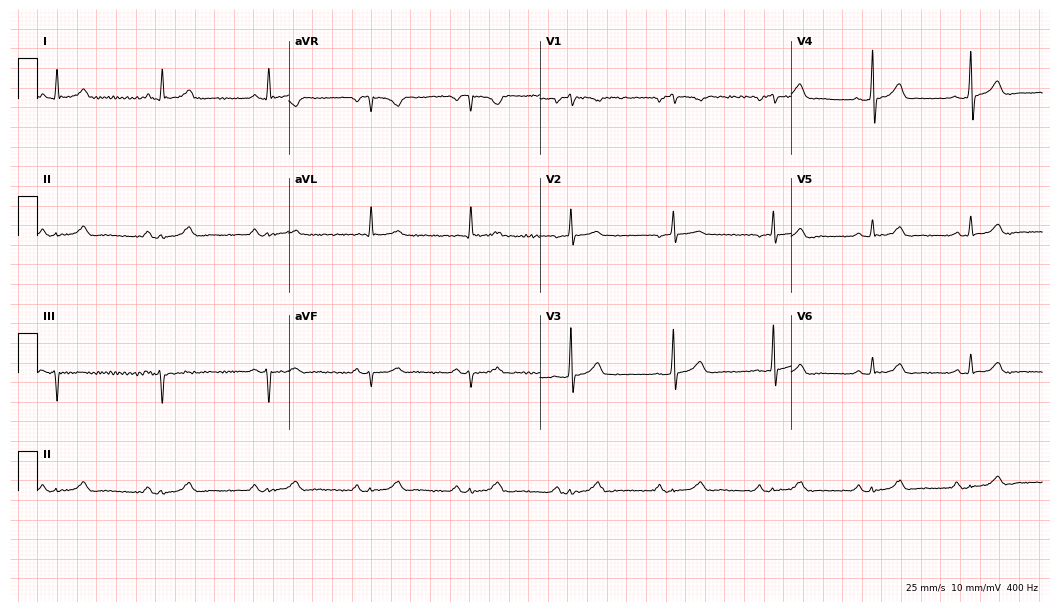
Electrocardiogram, a man, 61 years old. Overall reading on record: normal ECG.